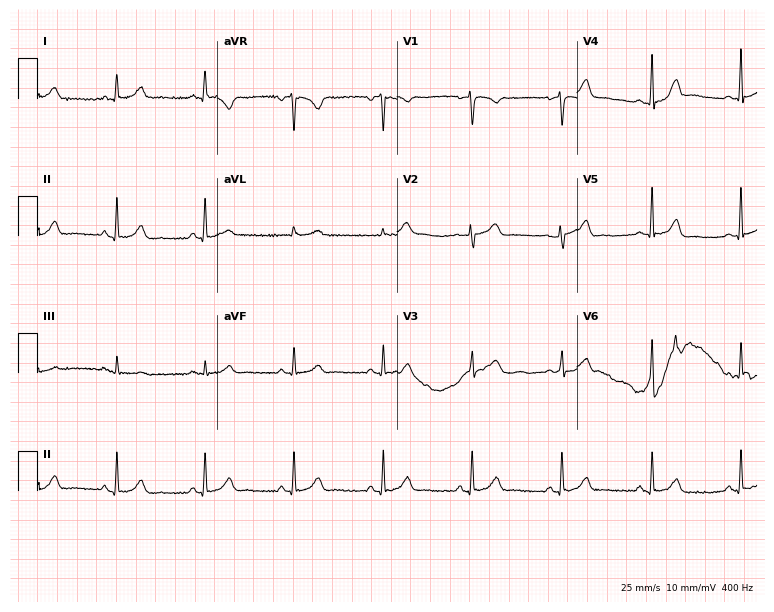
Electrocardiogram (7.3-second recording at 400 Hz), a 50-year-old female patient. Overall reading on record: normal ECG.